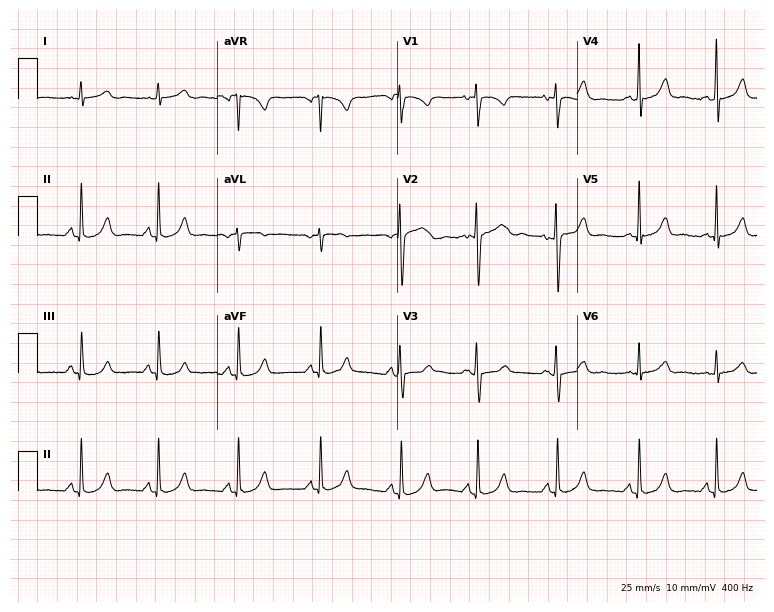
Resting 12-lead electrocardiogram (7.3-second recording at 400 Hz). Patient: a woman, 25 years old. Read as a normal ECG.